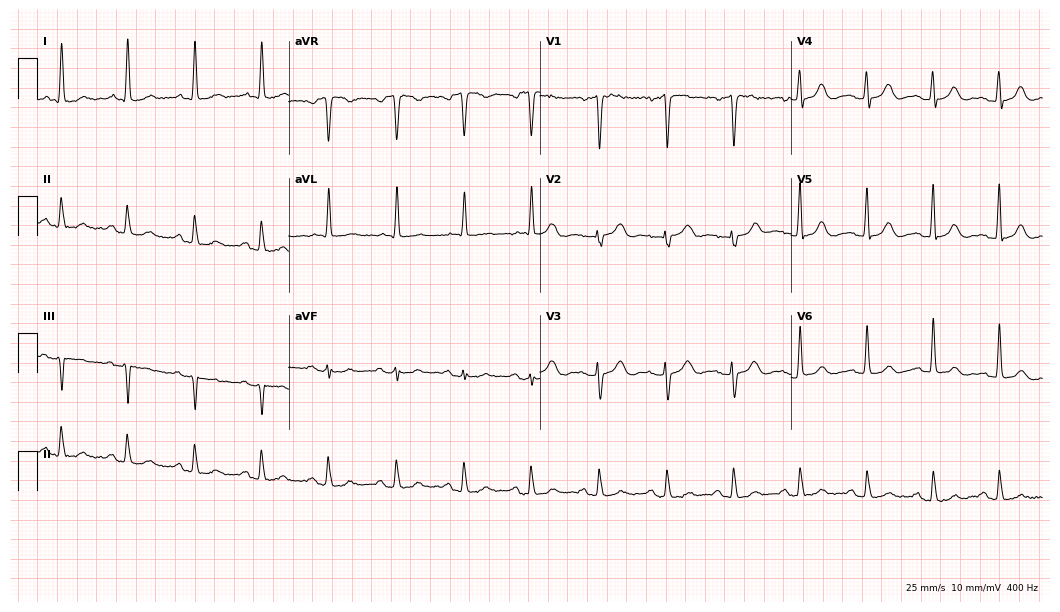
Resting 12-lead electrocardiogram (10.2-second recording at 400 Hz). Patient: an 81-year-old female. Read as a normal ECG.